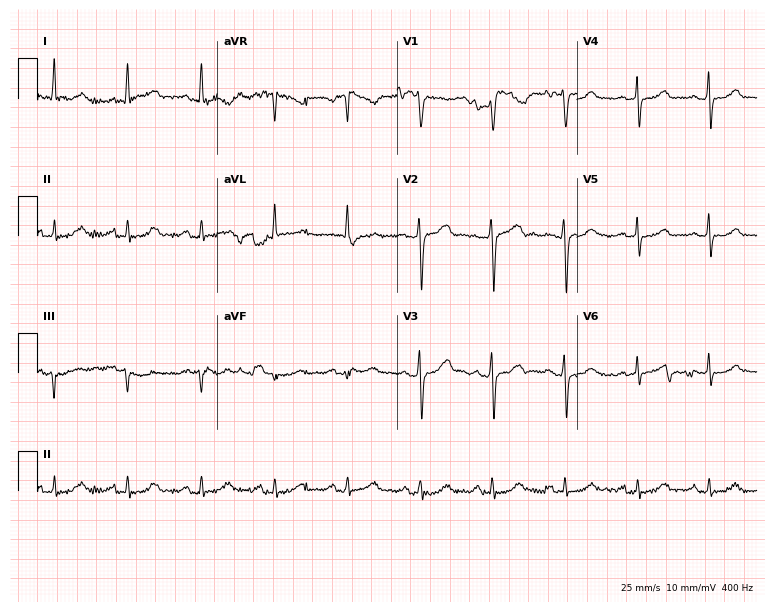
ECG — a female patient, 61 years old. Screened for six findings — first-degree AV block, right bundle branch block, left bundle branch block, sinus bradycardia, atrial fibrillation, sinus tachycardia — none is recorded. Other findings, if any, are not listed.